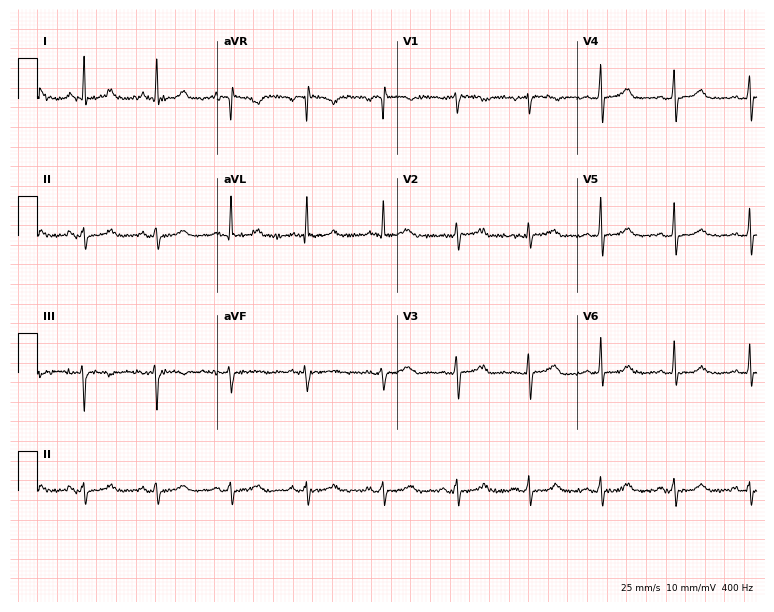
Resting 12-lead electrocardiogram (7.3-second recording at 400 Hz). Patient: a 56-year-old woman. None of these six findings is recorded: first-degree AV block, right bundle branch block, left bundle branch block, sinus bradycardia, atrial fibrillation, sinus tachycardia.